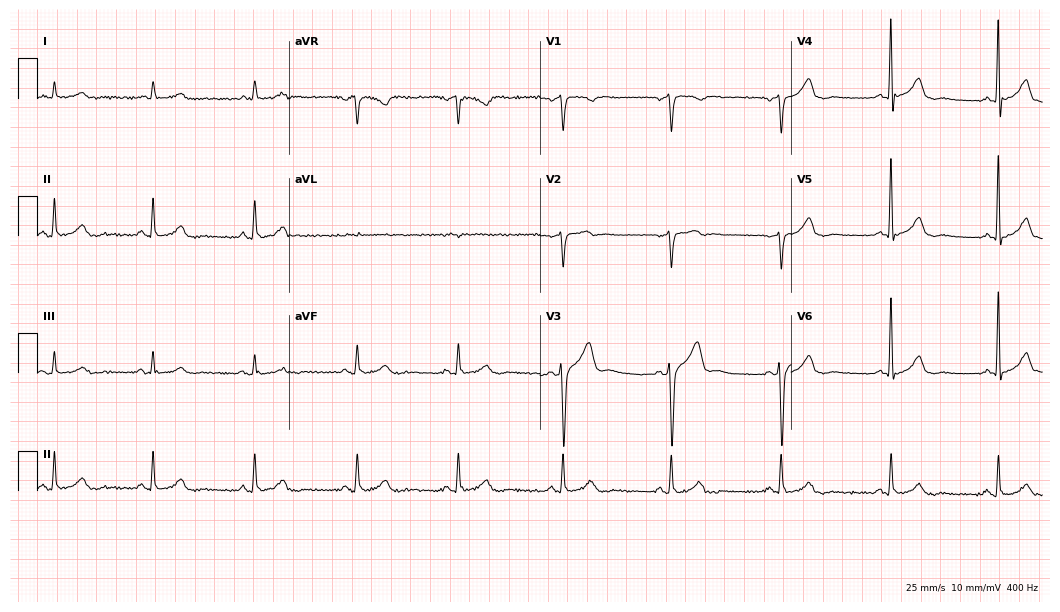
ECG (10.2-second recording at 400 Hz) — a 55-year-old man. Labelled as a normal ECG.